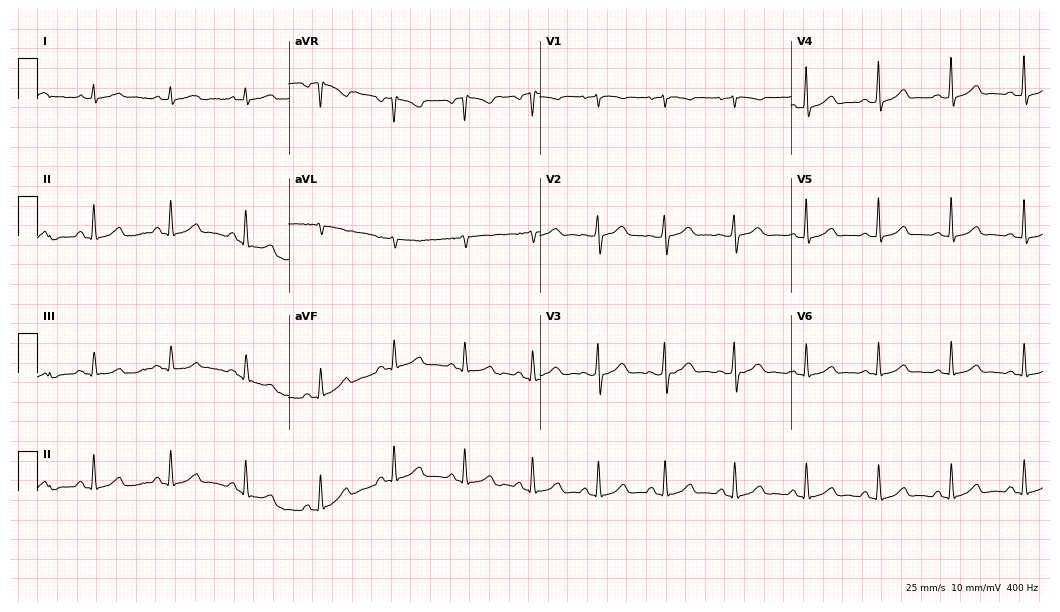
Electrocardiogram (10.2-second recording at 400 Hz), a female patient, 47 years old. Overall reading on record: normal ECG.